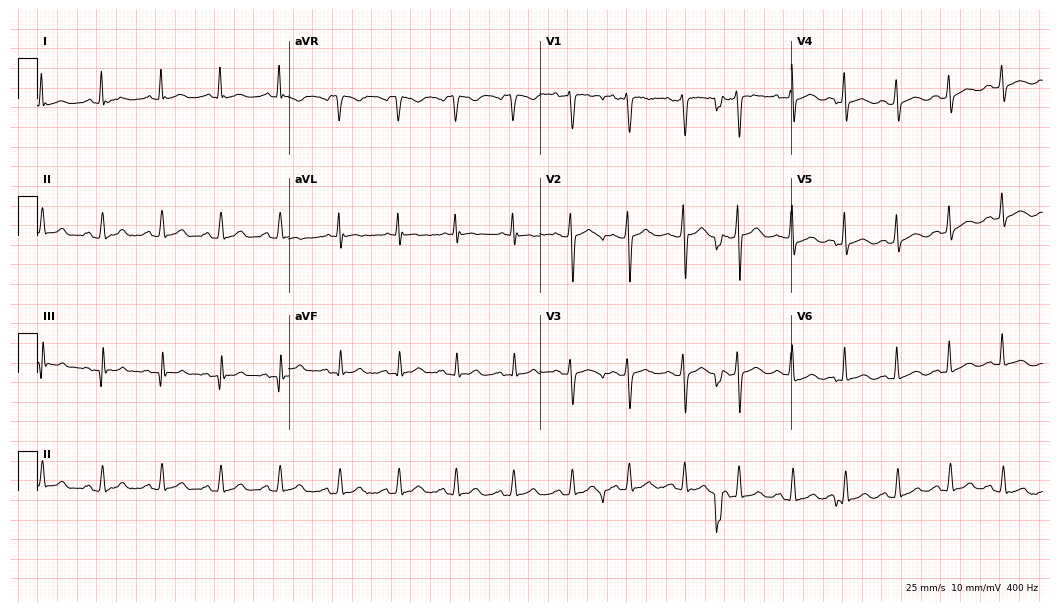
Standard 12-lead ECG recorded from a woman, 19 years old. The tracing shows sinus tachycardia (a sinus rate of 100 beats per minute or more).